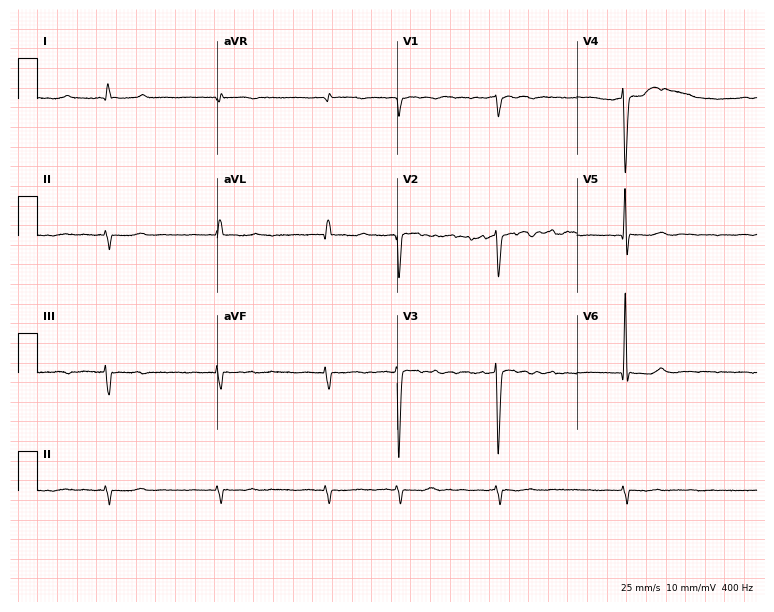
12-lead ECG from a 67-year-old male. Findings include atrial fibrillation.